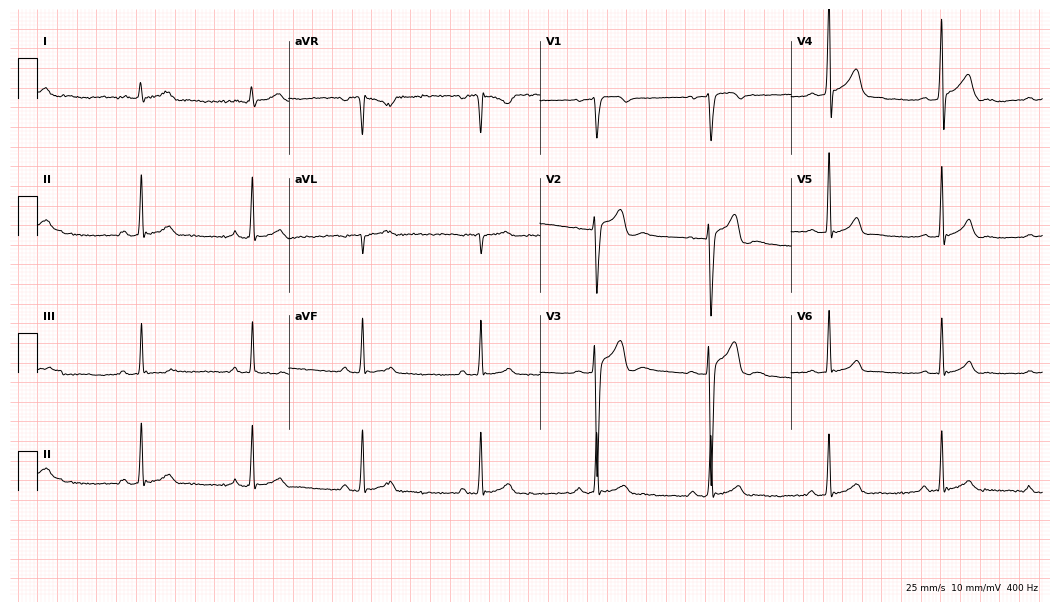
Electrocardiogram (10.2-second recording at 400 Hz), a man, 20 years old. Overall reading on record: normal ECG.